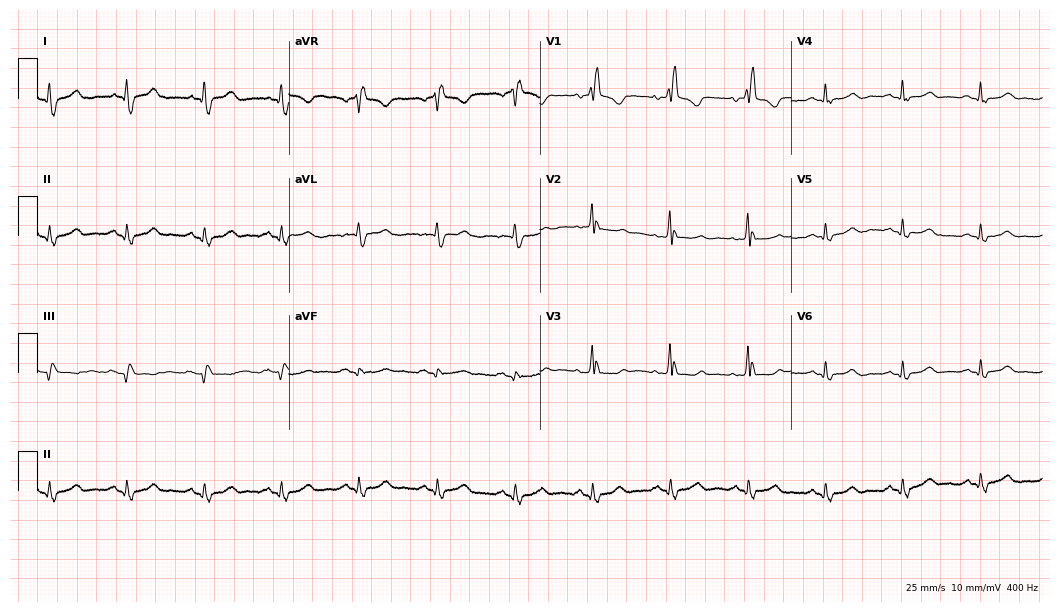
Electrocardiogram, a female patient, 72 years old. Interpretation includes right bundle branch block (RBBB).